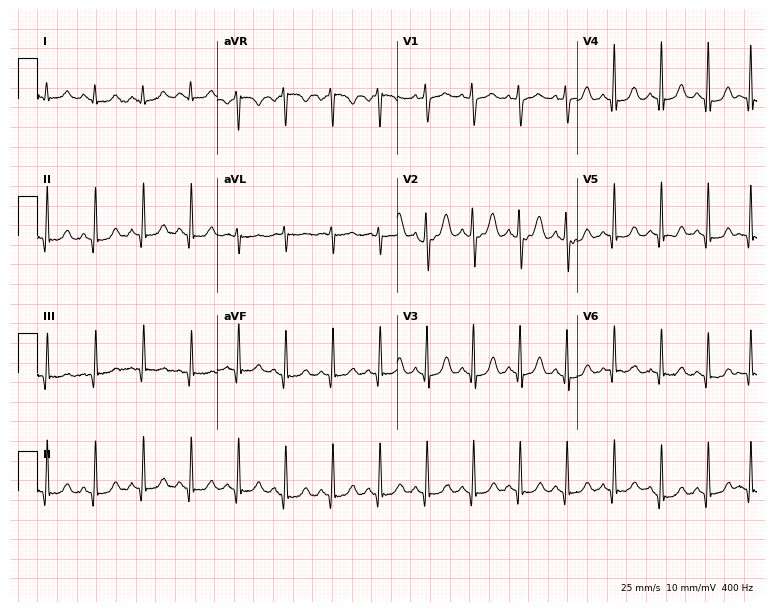
12-lead ECG (7.3-second recording at 400 Hz) from a 35-year-old woman. Screened for six findings — first-degree AV block, right bundle branch block (RBBB), left bundle branch block (LBBB), sinus bradycardia, atrial fibrillation (AF), sinus tachycardia — none is recorded. Only these six findings were labelled.